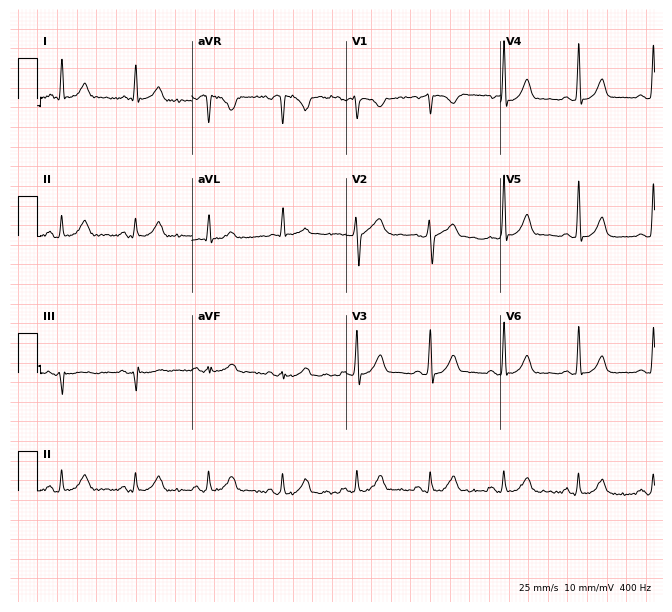
Electrocardiogram, a male, 61 years old. Of the six screened findings (first-degree AV block, right bundle branch block, left bundle branch block, sinus bradycardia, atrial fibrillation, sinus tachycardia), none is recorded.